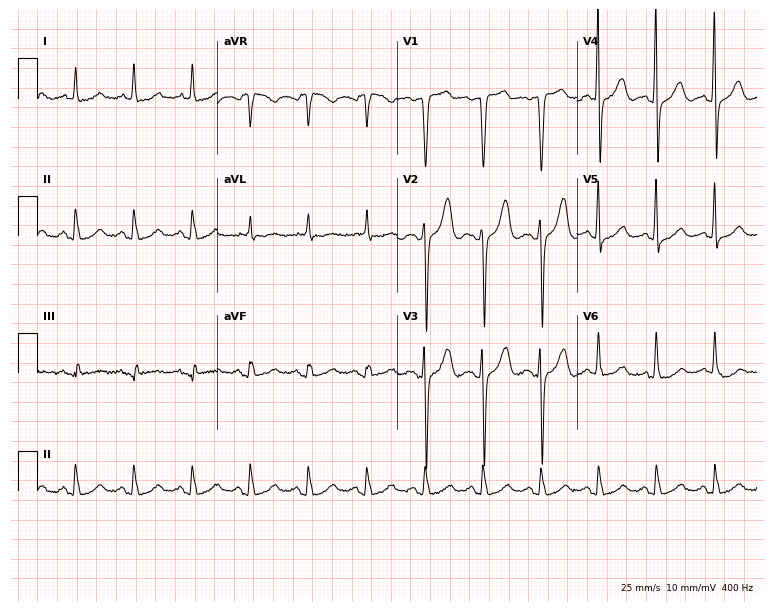
Standard 12-lead ECG recorded from a female, 60 years old (7.3-second recording at 400 Hz). The tracing shows sinus tachycardia (a sinus rate of 100 beats per minute or more).